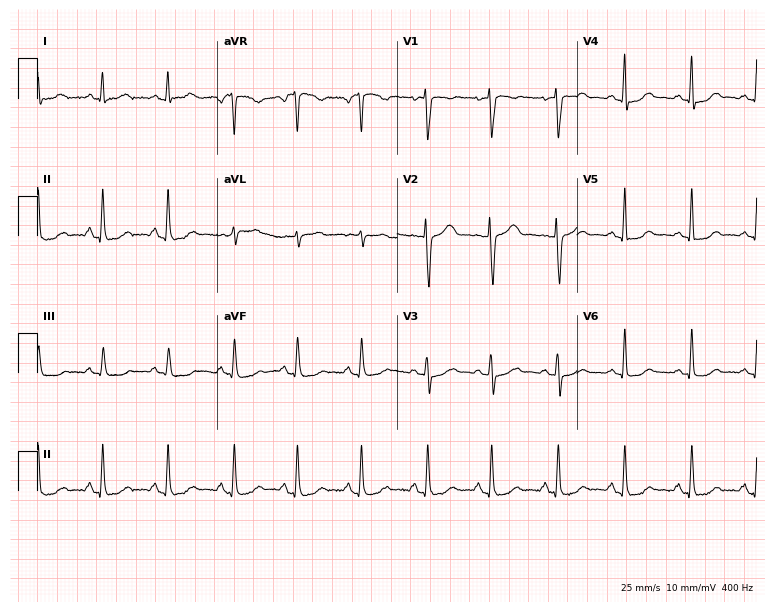
12-lead ECG from a woman, 27 years old. No first-degree AV block, right bundle branch block (RBBB), left bundle branch block (LBBB), sinus bradycardia, atrial fibrillation (AF) or sinus tachycardia recorded for this tracing.